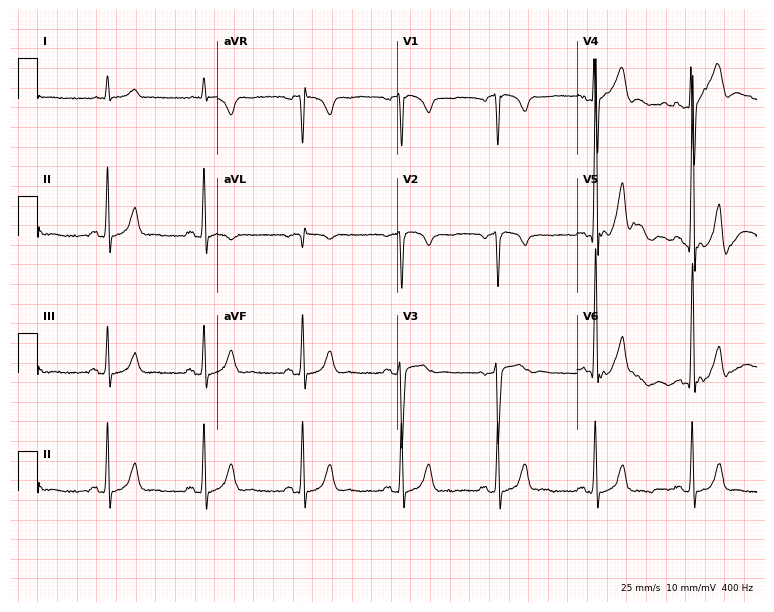
12-lead ECG (7.3-second recording at 400 Hz) from a 58-year-old male. Screened for six findings — first-degree AV block, right bundle branch block (RBBB), left bundle branch block (LBBB), sinus bradycardia, atrial fibrillation (AF), sinus tachycardia — none is recorded.